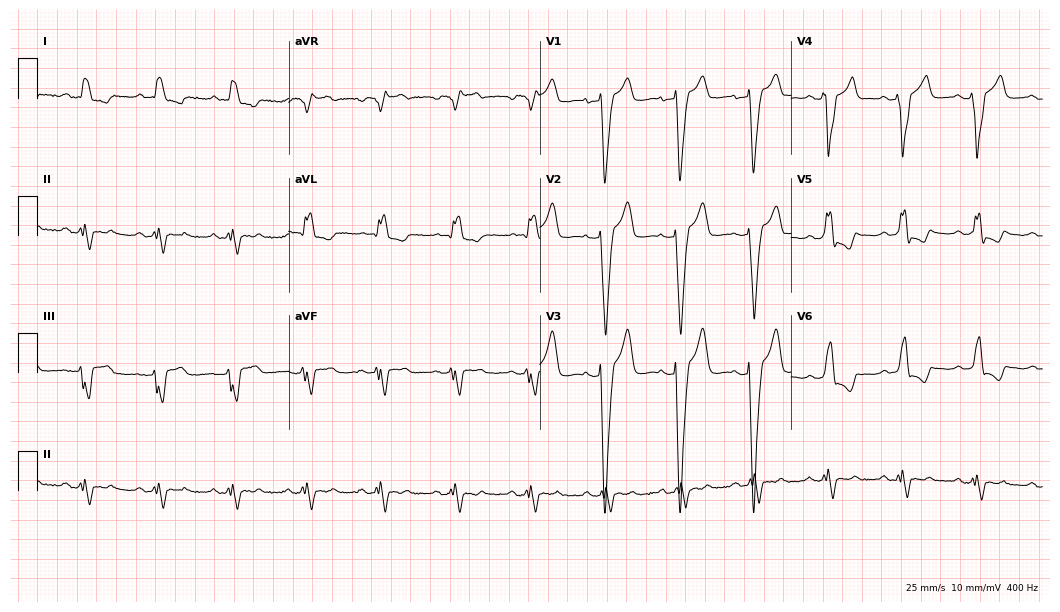
Standard 12-lead ECG recorded from a female patient, 67 years old (10.2-second recording at 400 Hz). The tracing shows left bundle branch block.